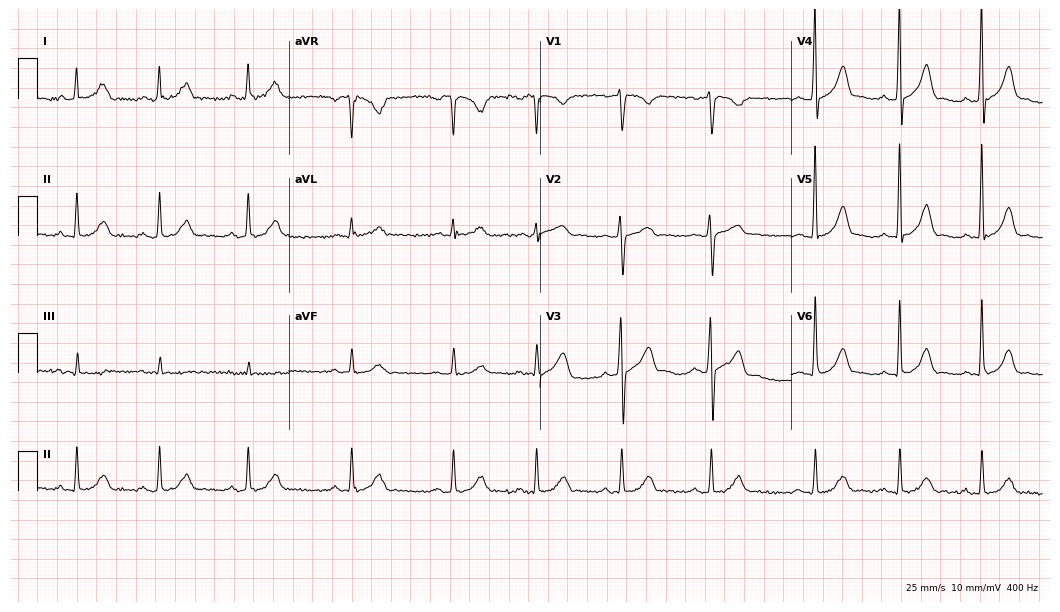
Resting 12-lead electrocardiogram. Patient: a 34-year-old man. Read as a normal ECG.